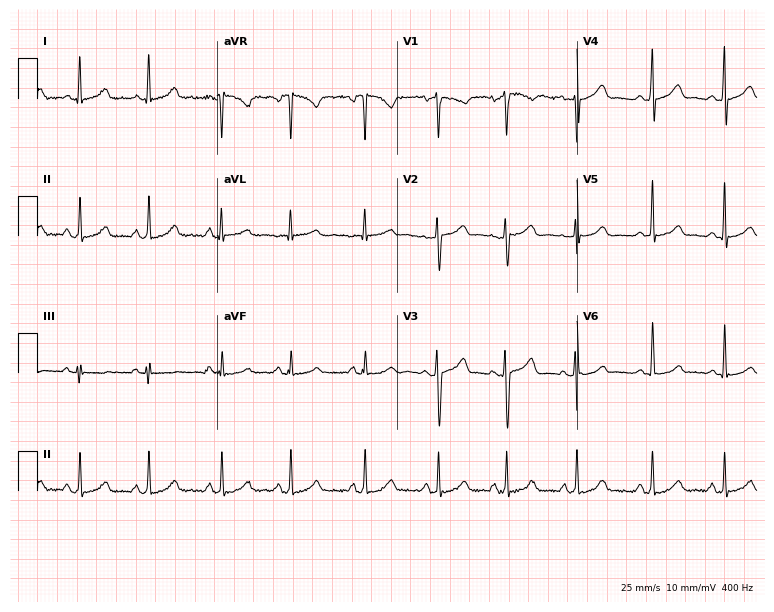
ECG — a female, 24 years old. Labelled as a normal ECG.